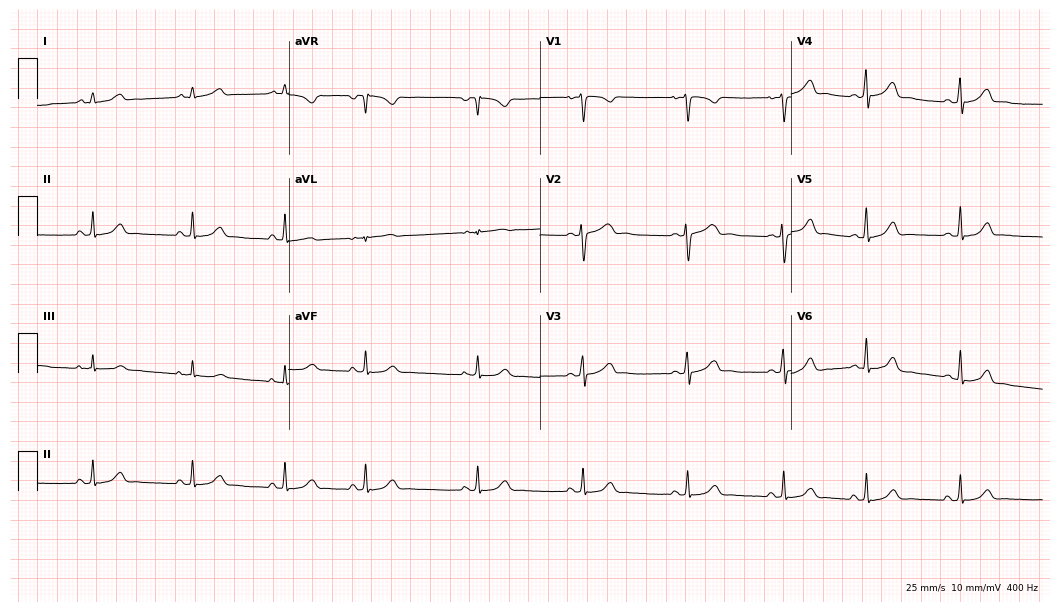
12-lead ECG from a 17-year-old female. Labelled as a normal ECG.